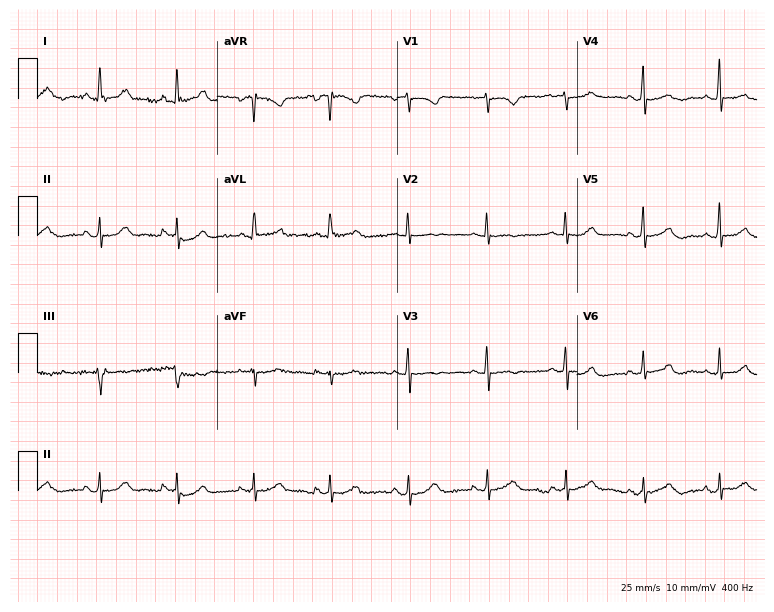
12-lead ECG (7.3-second recording at 400 Hz) from a female, 56 years old. Labelled as a normal ECG.